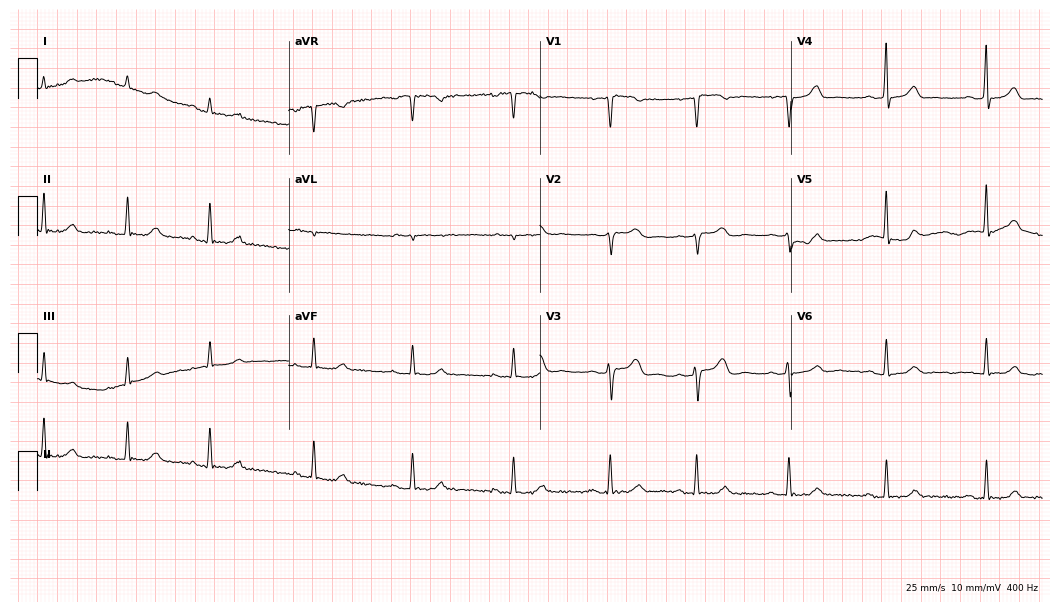
Electrocardiogram, a woman, 43 years old. Overall reading on record: normal ECG.